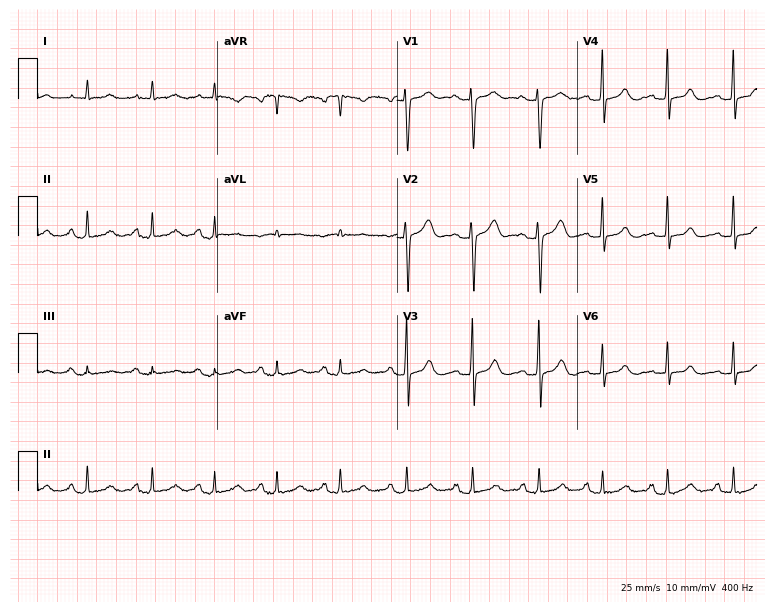
Electrocardiogram, a woman, 47 years old. Of the six screened findings (first-degree AV block, right bundle branch block, left bundle branch block, sinus bradycardia, atrial fibrillation, sinus tachycardia), none is recorded. Other findings, if any, are not listed.